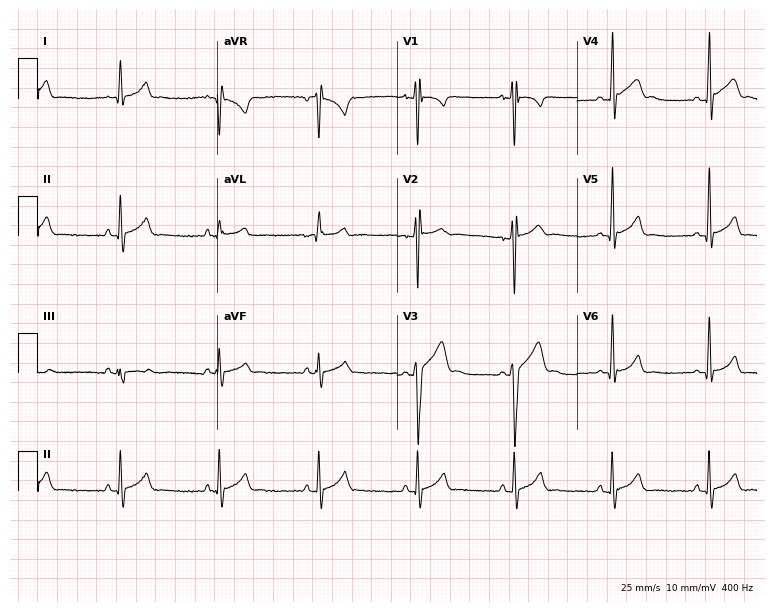
ECG (7.3-second recording at 400 Hz) — a male, 18 years old. Screened for six findings — first-degree AV block, right bundle branch block (RBBB), left bundle branch block (LBBB), sinus bradycardia, atrial fibrillation (AF), sinus tachycardia — none is recorded.